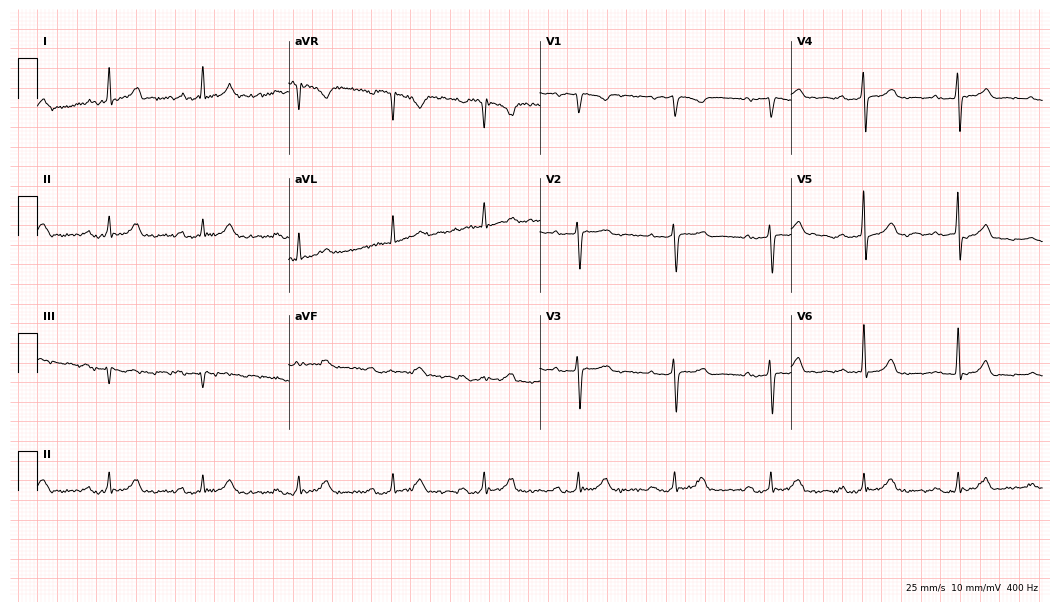
Standard 12-lead ECG recorded from a 76-year-old female. The tracing shows first-degree AV block.